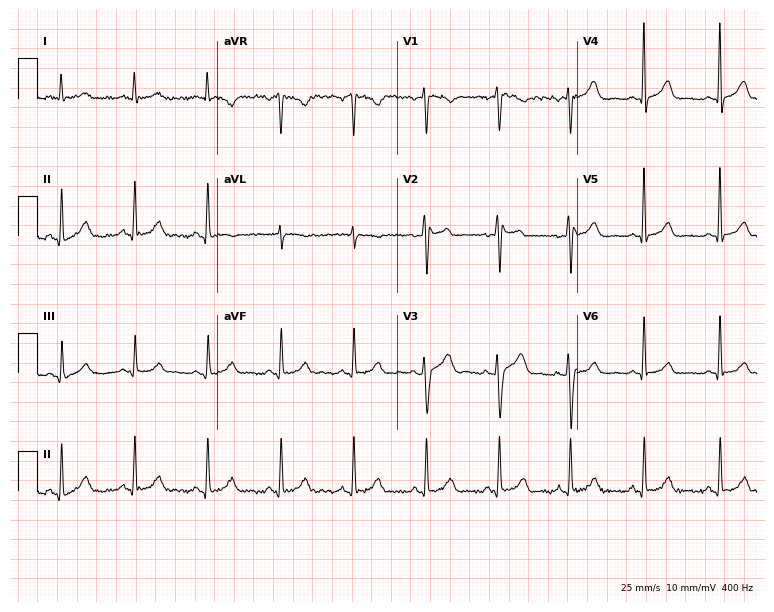
12-lead ECG from a 41-year-old male (7.3-second recording at 400 Hz). Recorded interpretation: within normal limits.